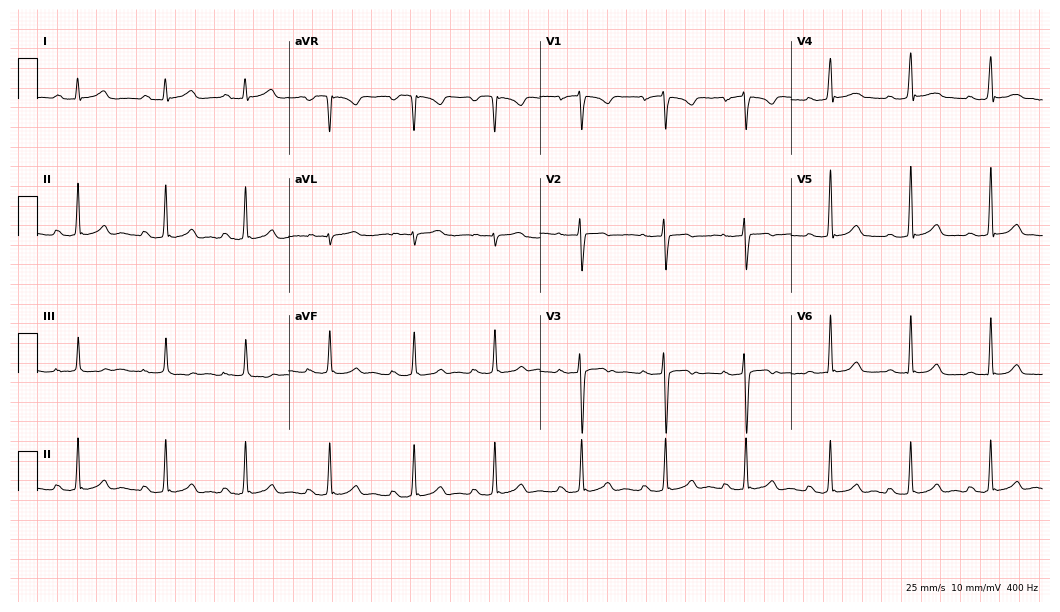
ECG (10.2-second recording at 400 Hz) — a woman, 17 years old. Findings include first-degree AV block.